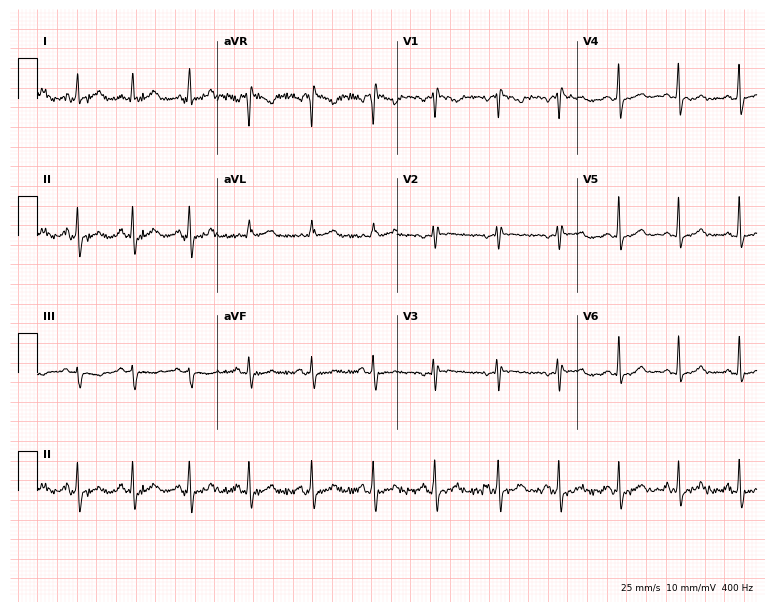
Standard 12-lead ECG recorded from a female, 25 years old. None of these six findings is recorded: first-degree AV block, right bundle branch block (RBBB), left bundle branch block (LBBB), sinus bradycardia, atrial fibrillation (AF), sinus tachycardia.